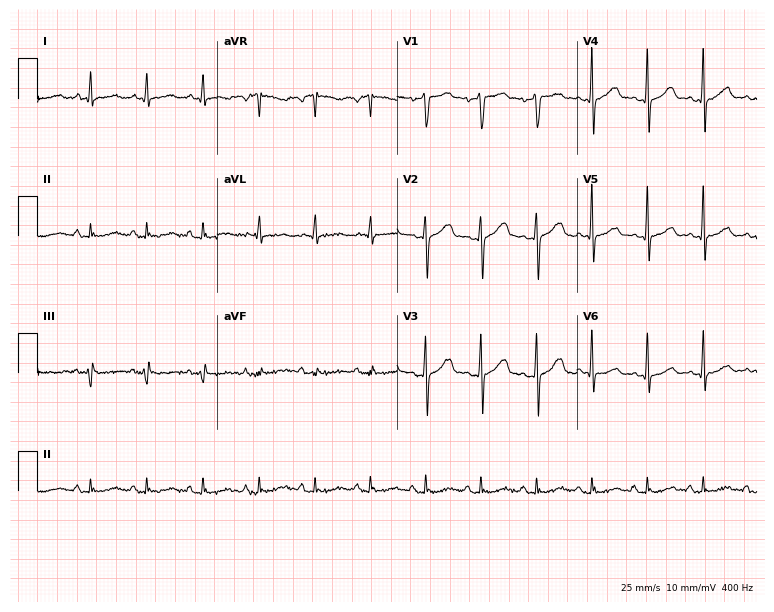
12-lead ECG (7.3-second recording at 400 Hz) from a male patient, 39 years old. Findings include sinus tachycardia (a sinus rate of 100 beats per minute or more).